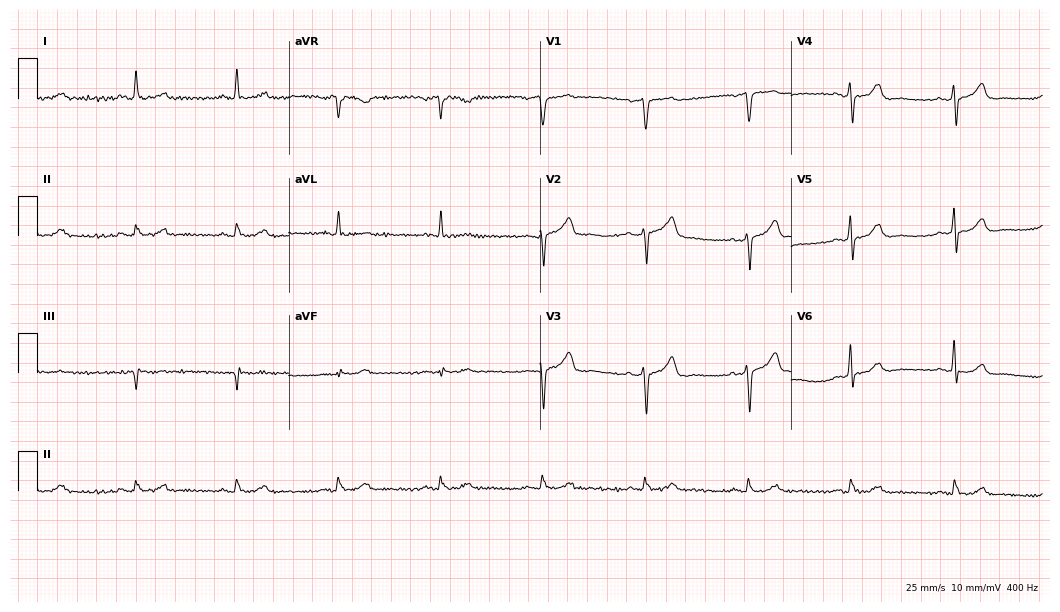
Standard 12-lead ECG recorded from a 74-year-old male patient. Read as a normal ECG.